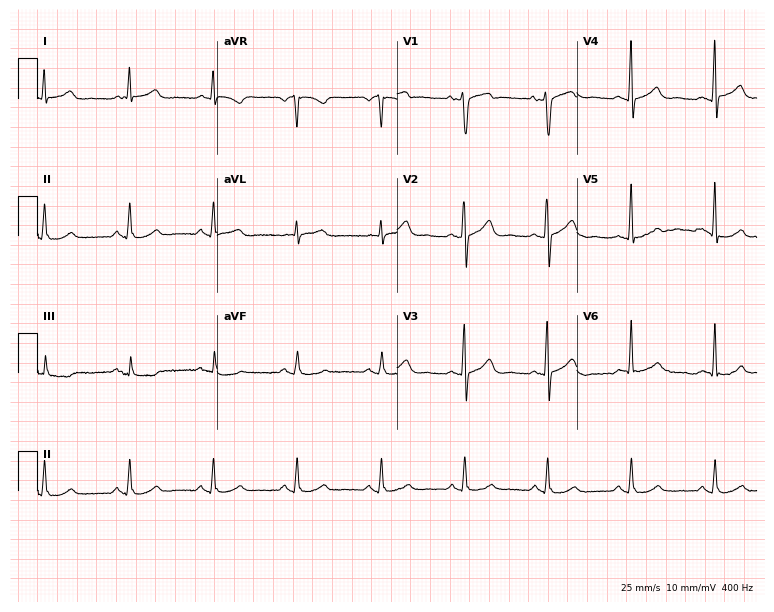
12-lead ECG from a 48-year-old male patient. Recorded interpretation: within normal limits.